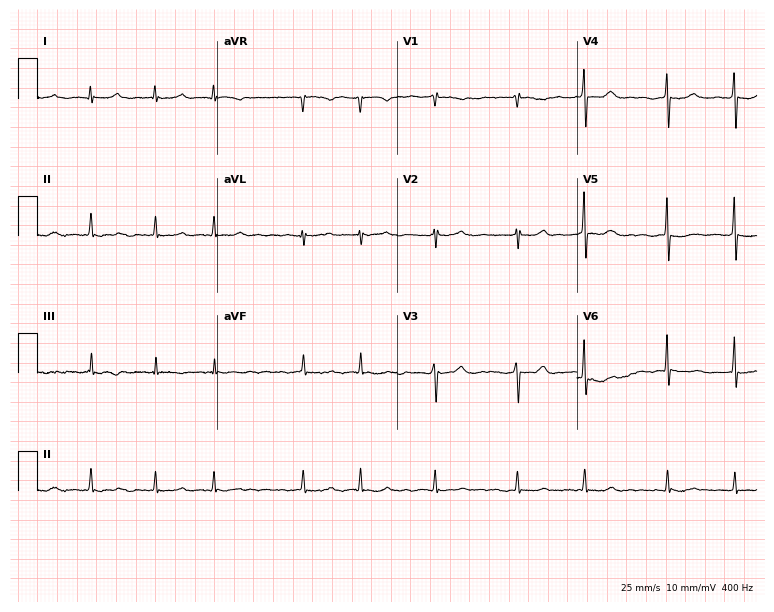
ECG (7.3-second recording at 400 Hz) — an 85-year-old female. Findings include atrial fibrillation.